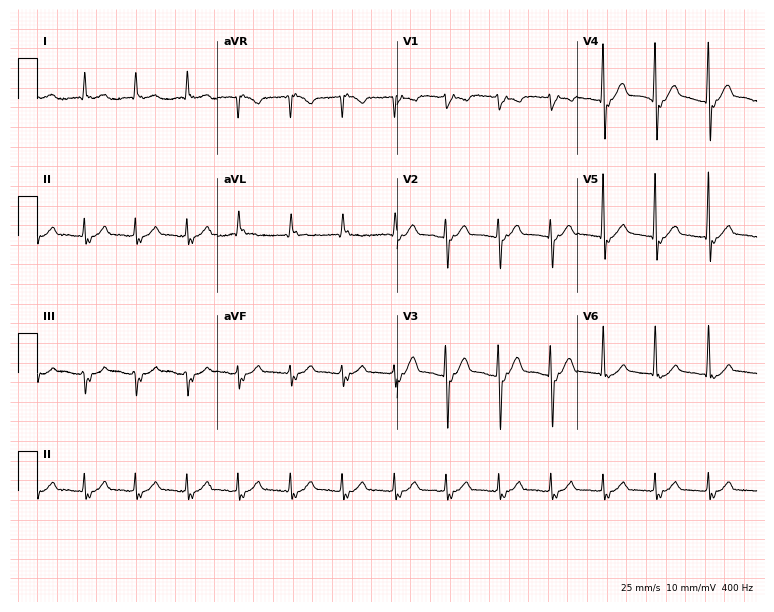
ECG (7.3-second recording at 400 Hz) — an 85-year-old female patient. Screened for six findings — first-degree AV block, right bundle branch block, left bundle branch block, sinus bradycardia, atrial fibrillation, sinus tachycardia — none is recorded.